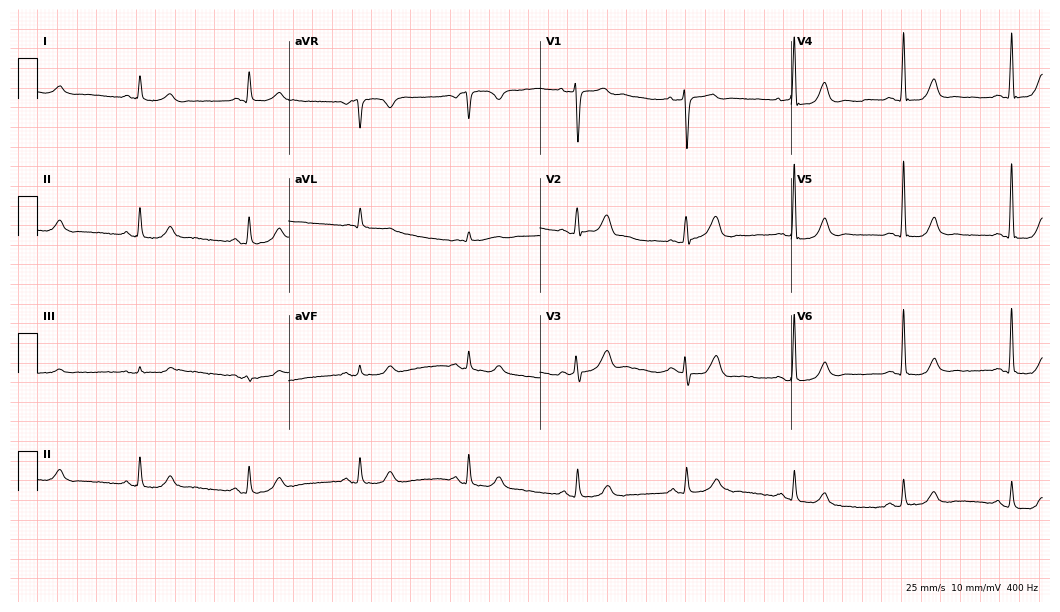
Electrocardiogram (10.2-second recording at 400 Hz), a 77-year-old male patient. Overall reading on record: normal ECG.